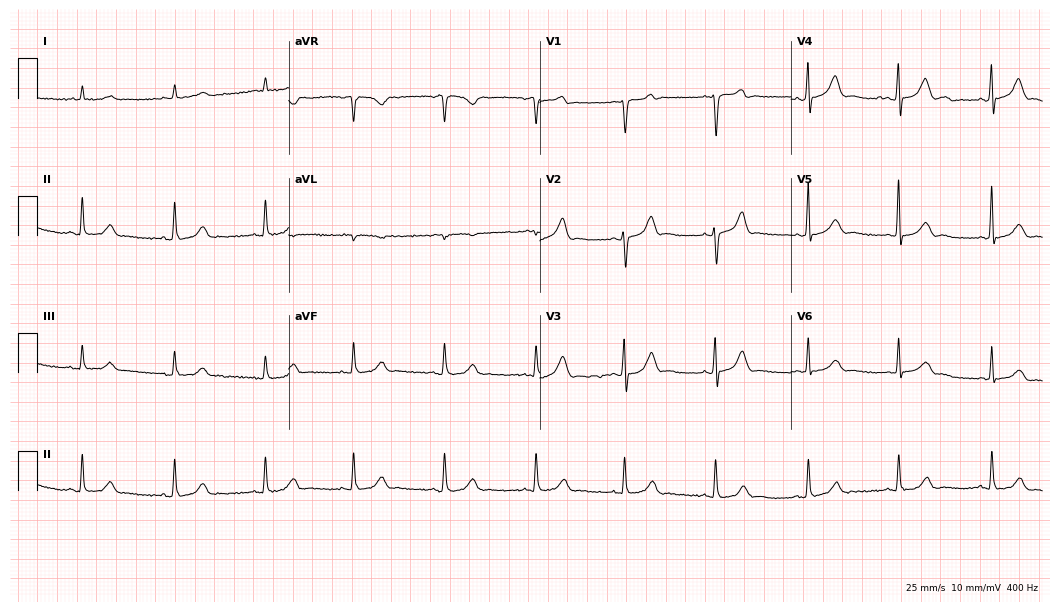
Electrocardiogram (10.2-second recording at 400 Hz), a male patient, 75 years old. Of the six screened findings (first-degree AV block, right bundle branch block, left bundle branch block, sinus bradycardia, atrial fibrillation, sinus tachycardia), none is recorded.